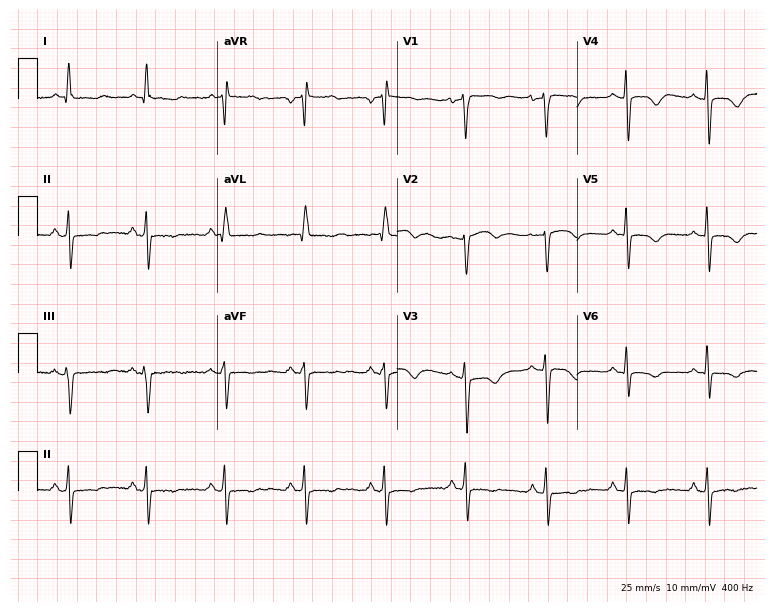
Electrocardiogram (7.3-second recording at 400 Hz), a female patient, 61 years old. Of the six screened findings (first-degree AV block, right bundle branch block (RBBB), left bundle branch block (LBBB), sinus bradycardia, atrial fibrillation (AF), sinus tachycardia), none is recorded. Other findings, if any, are not listed.